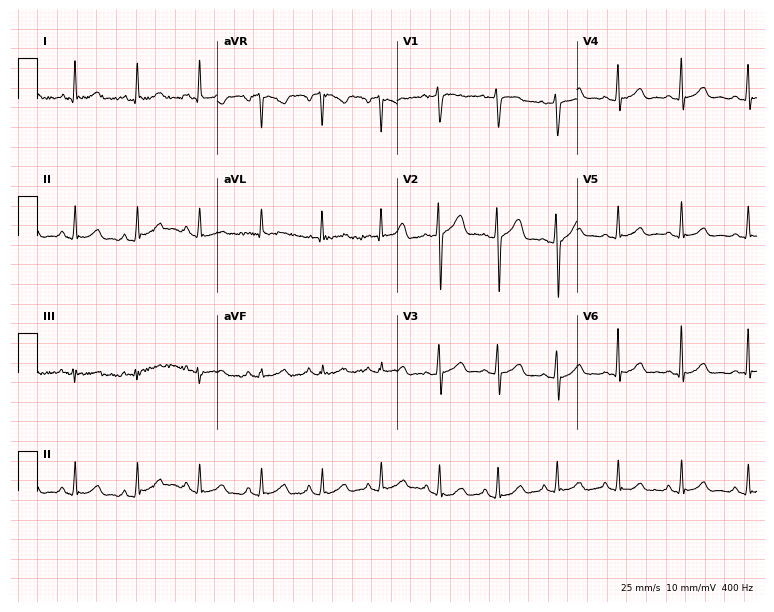
ECG (7.3-second recording at 400 Hz) — a male, 46 years old. Labelled as a normal ECG.